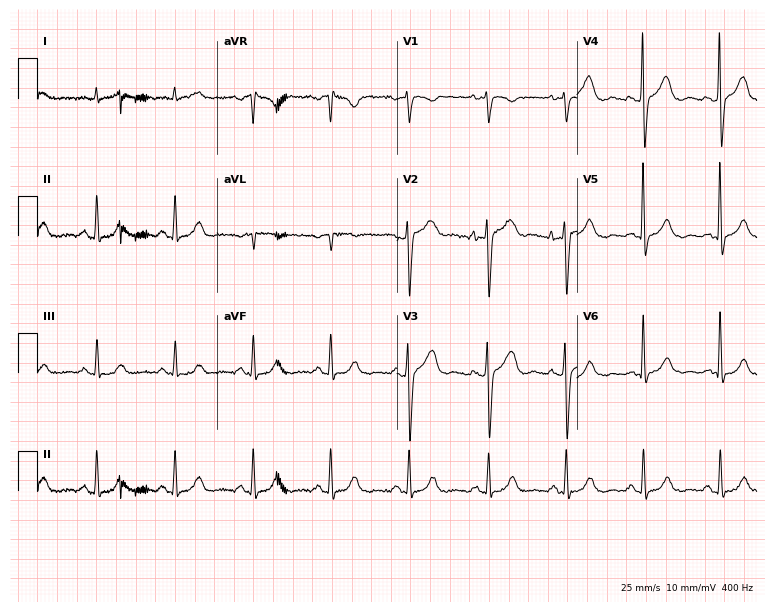
Electrocardiogram (7.3-second recording at 400 Hz), a man, 77 years old. Overall reading on record: normal ECG.